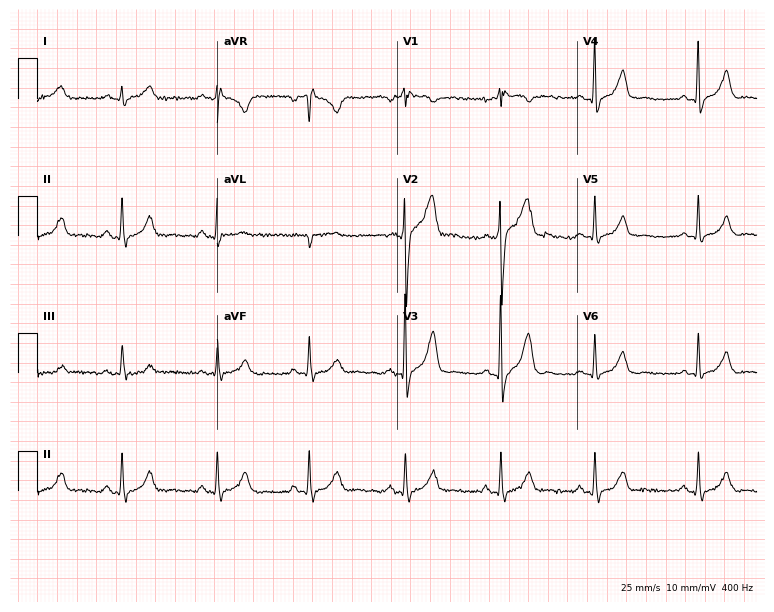
Electrocardiogram (7.3-second recording at 400 Hz), a male, 54 years old. Of the six screened findings (first-degree AV block, right bundle branch block (RBBB), left bundle branch block (LBBB), sinus bradycardia, atrial fibrillation (AF), sinus tachycardia), none is recorded. Other findings, if any, are not listed.